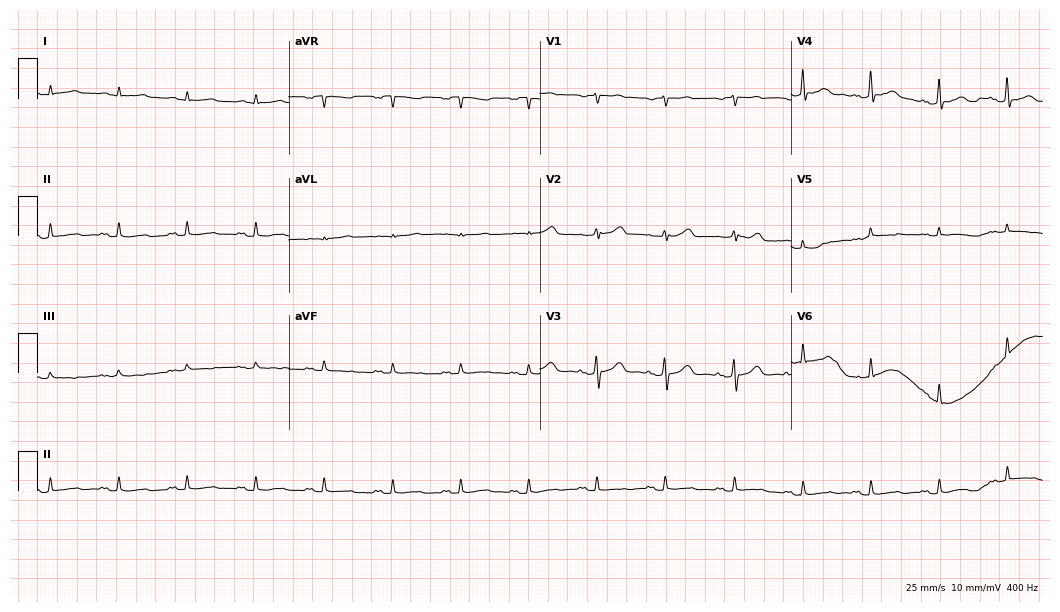
ECG — a 66-year-old woman. Screened for six findings — first-degree AV block, right bundle branch block (RBBB), left bundle branch block (LBBB), sinus bradycardia, atrial fibrillation (AF), sinus tachycardia — none is recorded.